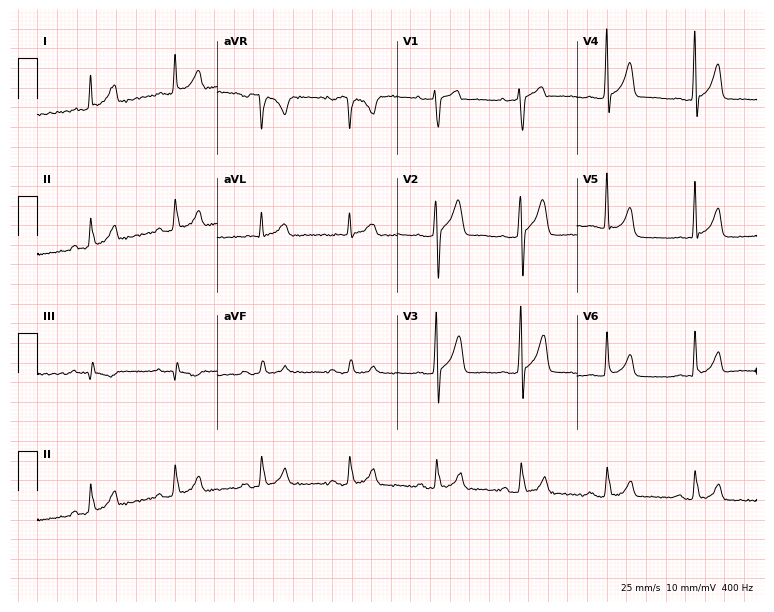
12-lead ECG from a 40-year-old male (7.3-second recording at 400 Hz). No first-degree AV block, right bundle branch block, left bundle branch block, sinus bradycardia, atrial fibrillation or sinus tachycardia recorded for this tracing.